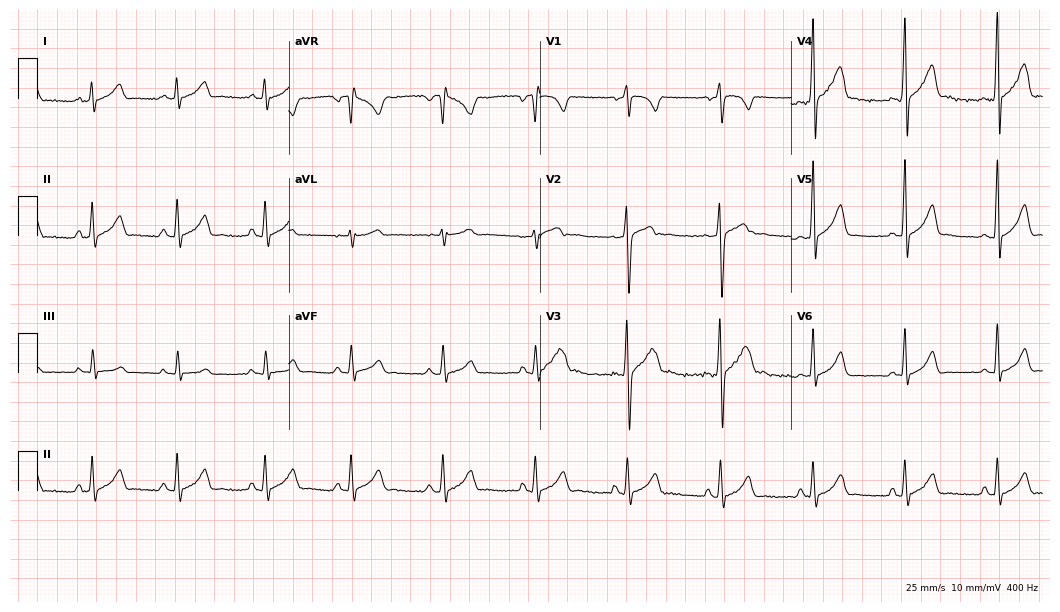
Resting 12-lead electrocardiogram (10.2-second recording at 400 Hz). Patient: a man, 18 years old. Read as a normal ECG.